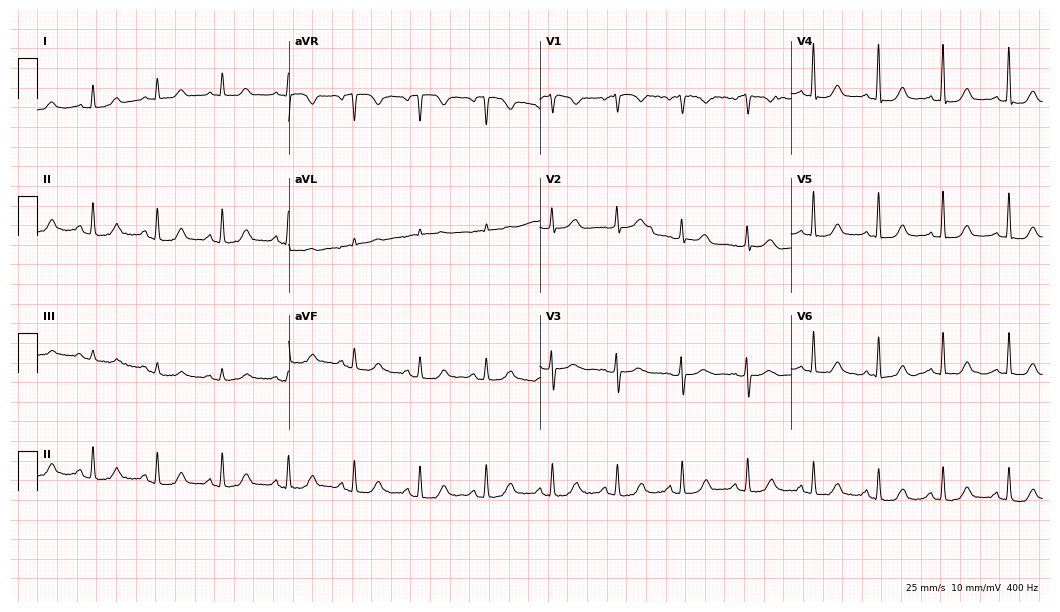
12-lead ECG from a 53-year-old woman. Recorded interpretation: within normal limits.